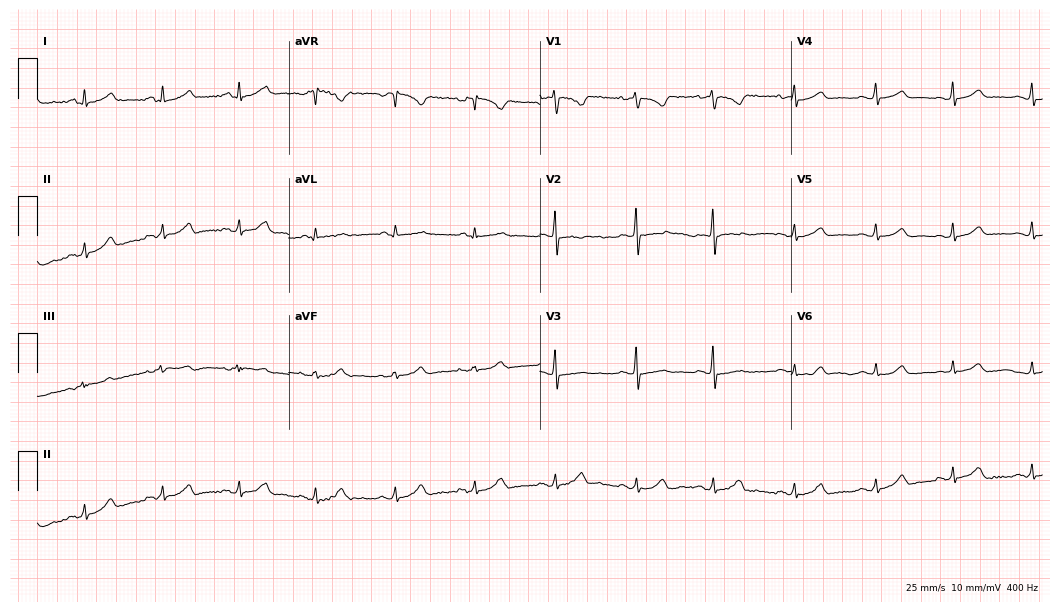
ECG — a 32-year-old female patient. Labelled as a normal ECG.